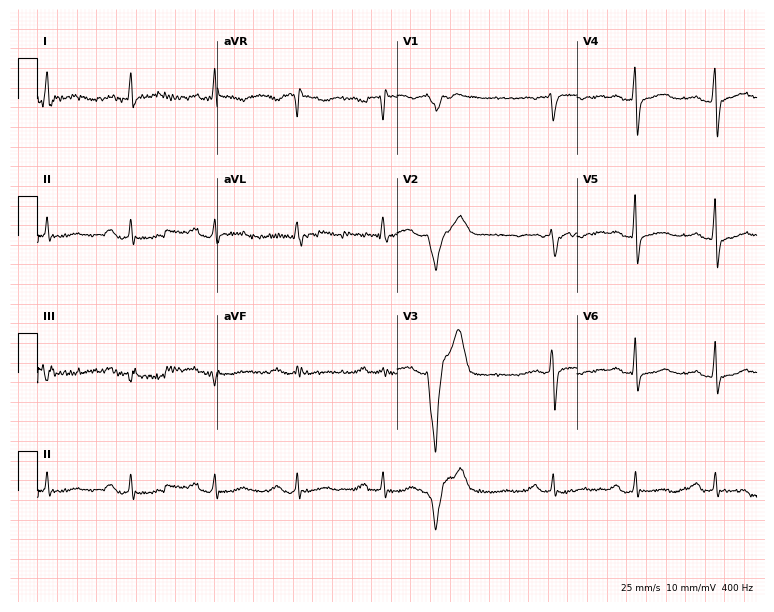
Standard 12-lead ECG recorded from a female, 57 years old. None of these six findings is recorded: first-degree AV block, right bundle branch block (RBBB), left bundle branch block (LBBB), sinus bradycardia, atrial fibrillation (AF), sinus tachycardia. Findings outside these six are not listed.